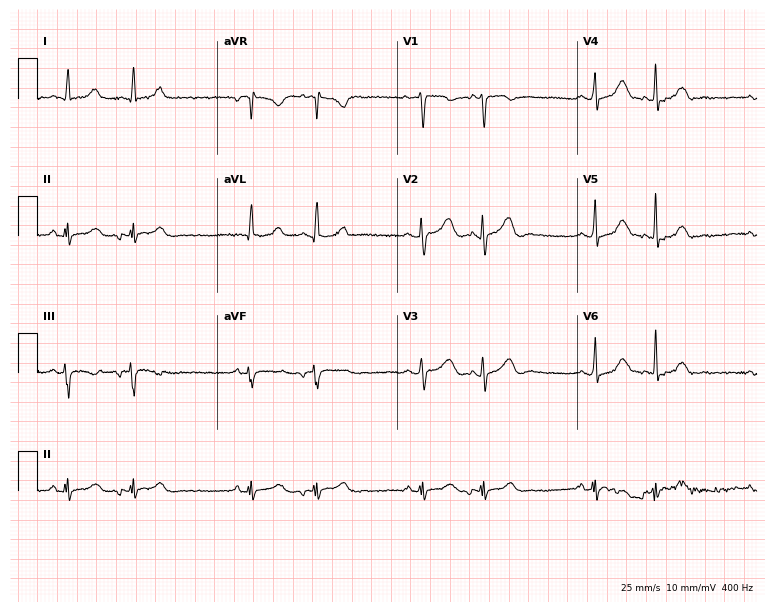
Resting 12-lead electrocardiogram. Patient: a female, 46 years old. None of these six findings is recorded: first-degree AV block, right bundle branch block, left bundle branch block, sinus bradycardia, atrial fibrillation, sinus tachycardia. Only these six findings were labelled.